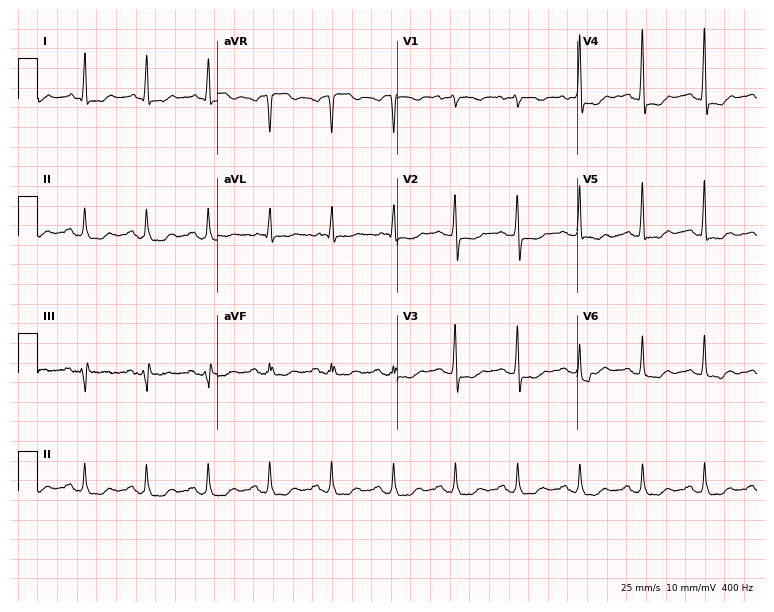
ECG — a 61-year-old female. Screened for six findings — first-degree AV block, right bundle branch block, left bundle branch block, sinus bradycardia, atrial fibrillation, sinus tachycardia — none is recorded. Other findings, if any, are not listed.